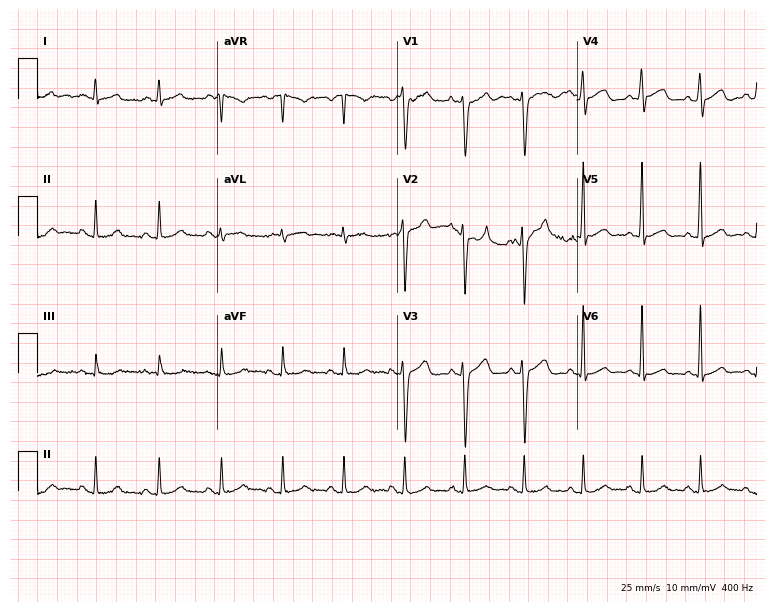
ECG (7.3-second recording at 400 Hz) — a man, 52 years old. Screened for six findings — first-degree AV block, right bundle branch block (RBBB), left bundle branch block (LBBB), sinus bradycardia, atrial fibrillation (AF), sinus tachycardia — none is recorded. Only these six findings were labelled.